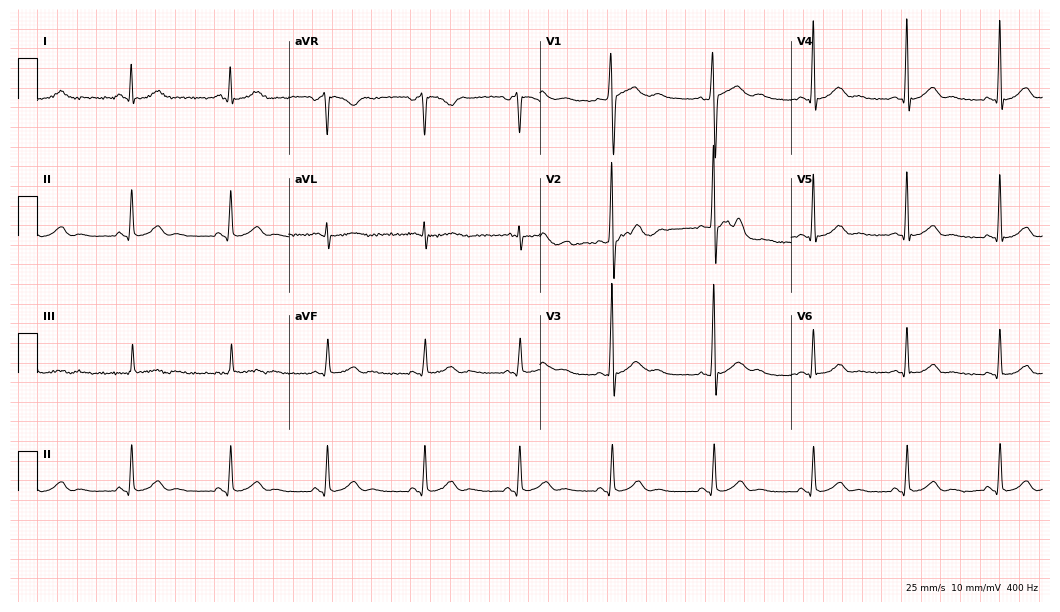
ECG — a man, 33 years old. Labelled as a normal ECG.